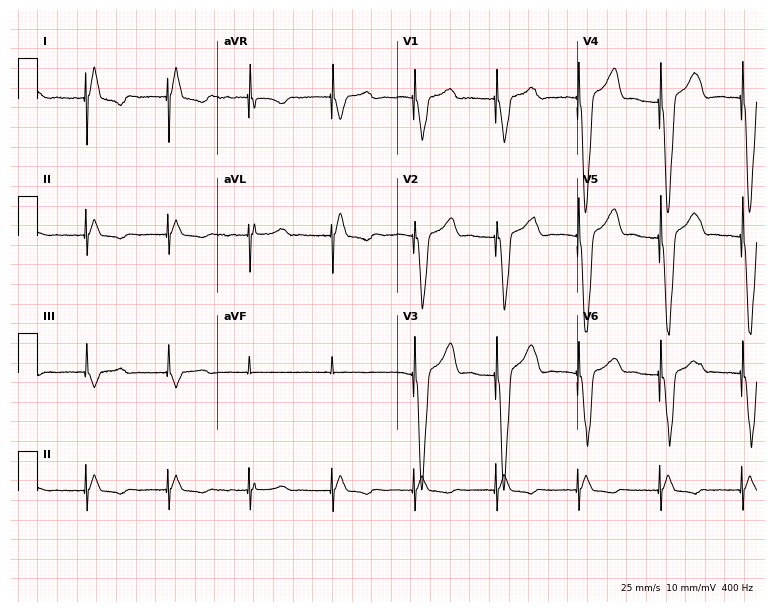
ECG (7.3-second recording at 400 Hz) — a female, 43 years old. Screened for six findings — first-degree AV block, right bundle branch block, left bundle branch block, sinus bradycardia, atrial fibrillation, sinus tachycardia — none is recorded.